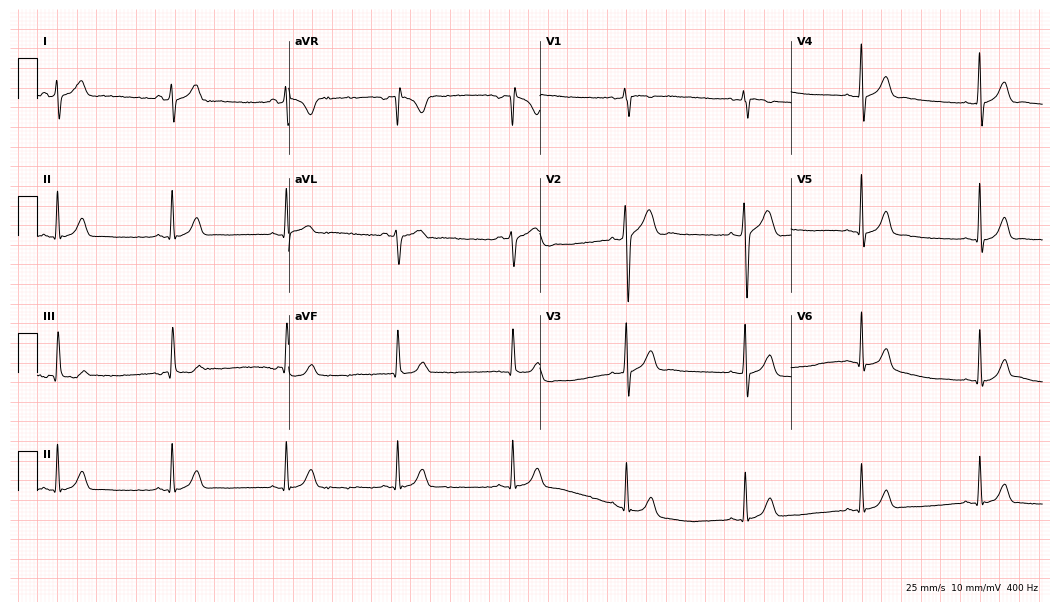
Standard 12-lead ECG recorded from a female, 17 years old. Read as a normal ECG.